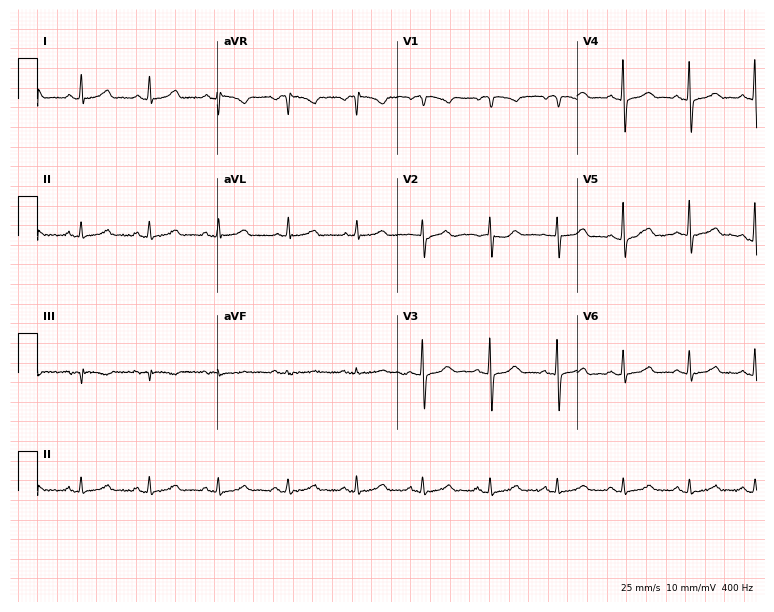
Electrocardiogram, a female patient, 76 years old. Overall reading on record: normal ECG.